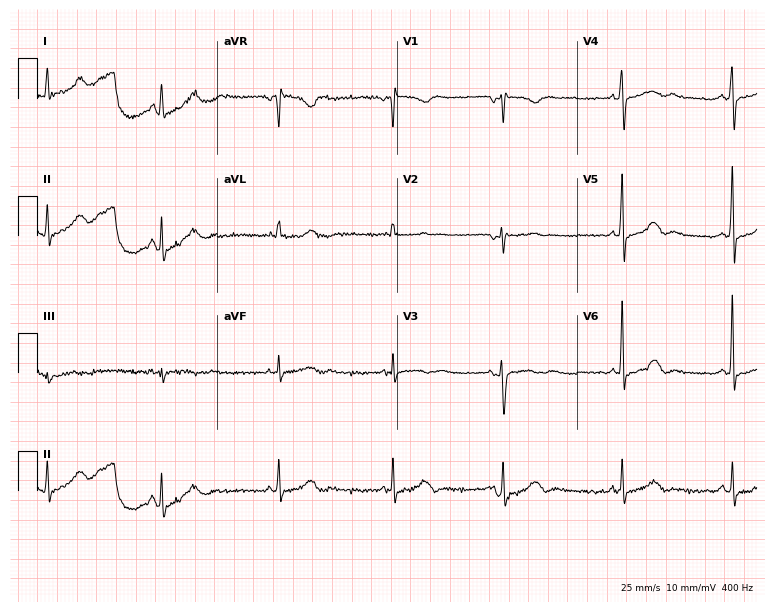
12-lead ECG from a woman, 64 years old. No first-degree AV block, right bundle branch block (RBBB), left bundle branch block (LBBB), sinus bradycardia, atrial fibrillation (AF) or sinus tachycardia recorded for this tracing.